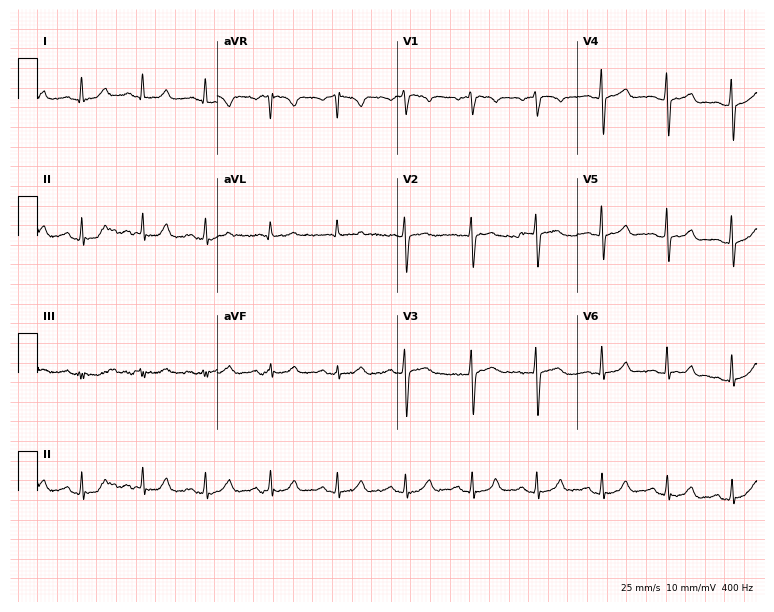
Standard 12-lead ECG recorded from a woman, 46 years old (7.3-second recording at 400 Hz). None of these six findings is recorded: first-degree AV block, right bundle branch block, left bundle branch block, sinus bradycardia, atrial fibrillation, sinus tachycardia. Findings outside these six are not listed.